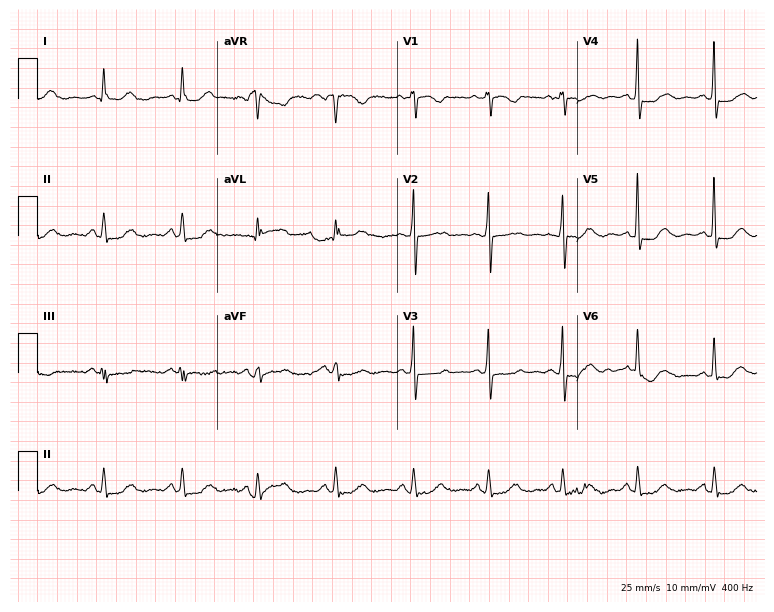
Standard 12-lead ECG recorded from a woman, 70 years old. Read as a normal ECG.